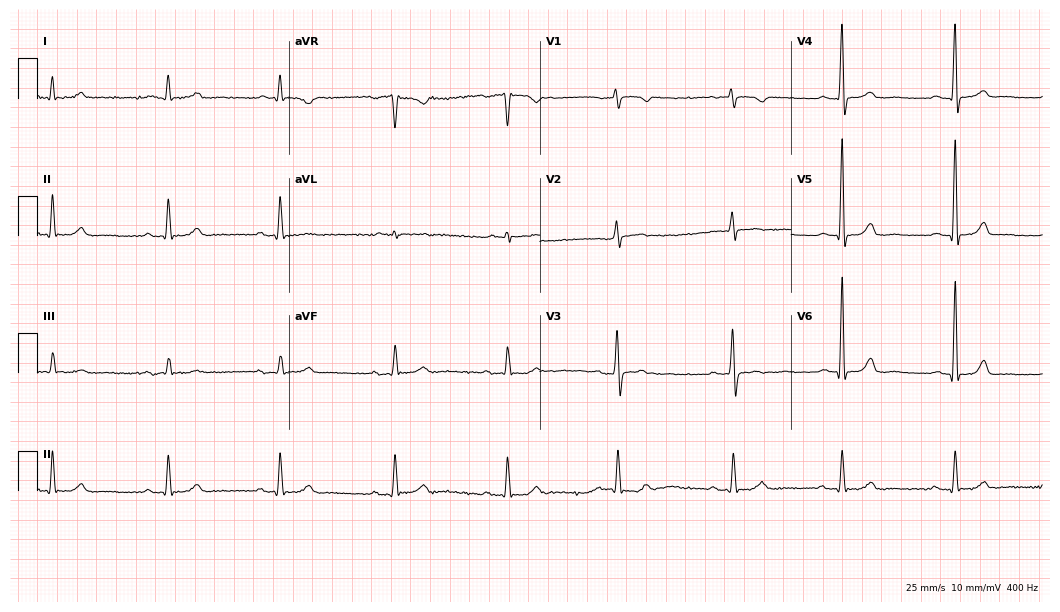
12-lead ECG from a male, 84 years old. Recorded interpretation: within normal limits.